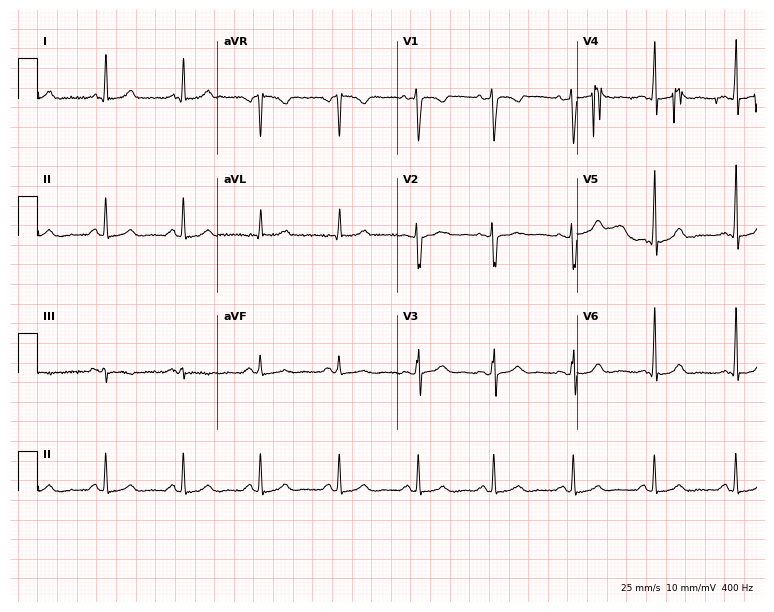
ECG (7.3-second recording at 400 Hz) — a female, 47 years old. Labelled as a normal ECG.